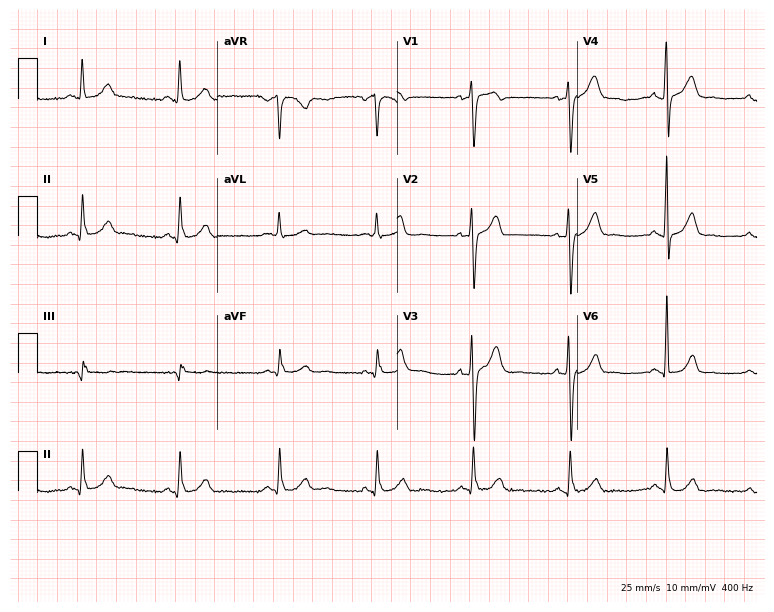
Standard 12-lead ECG recorded from a male patient, 48 years old. None of these six findings is recorded: first-degree AV block, right bundle branch block, left bundle branch block, sinus bradycardia, atrial fibrillation, sinus tachycardia. Only these six findings were labelled.